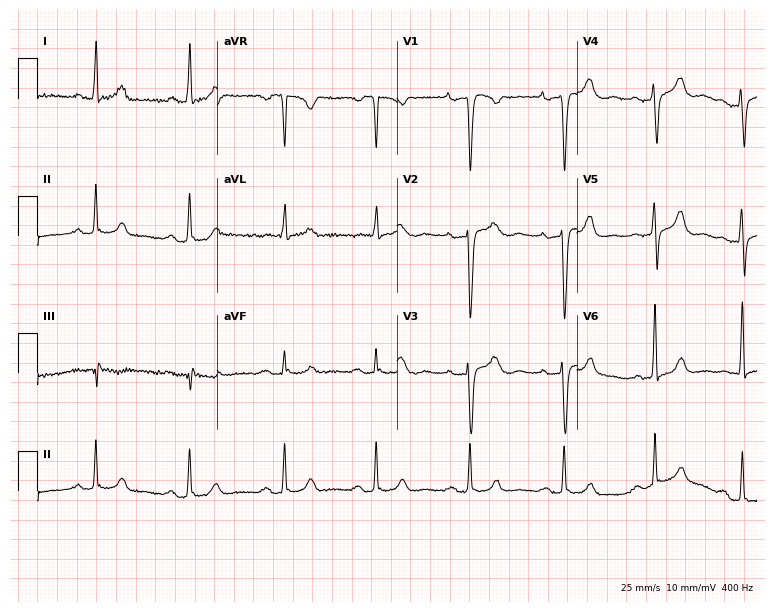
Electrocardiogram, a female, 56 years old. Interpretation includes first-degree AV block.